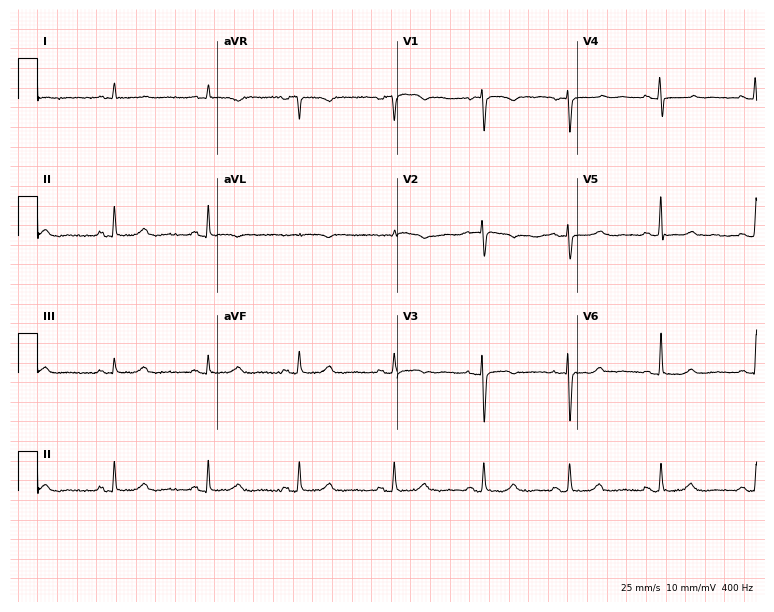
12-lead ECG from a female, 41 years old. Recorded interpretation: within normal limits.